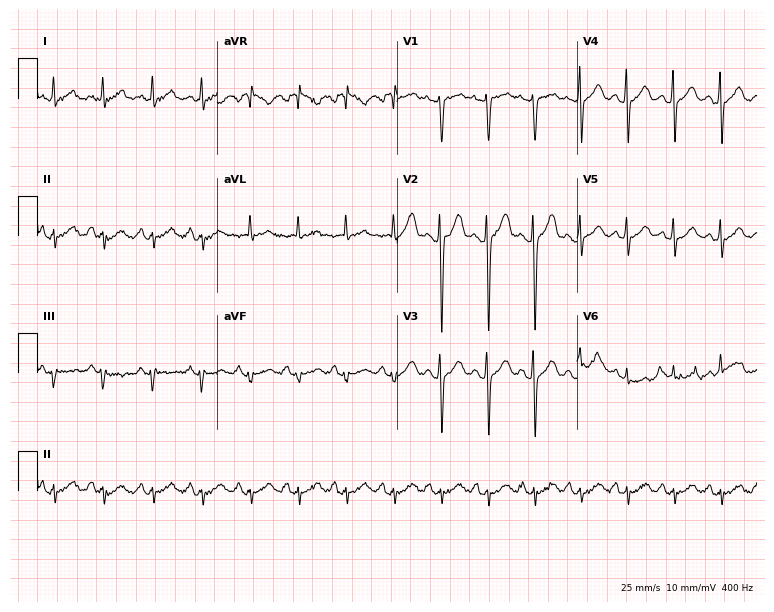
12-lead ECG from a 45-year-old man. Shows sinus tachycardia (a sinus rate of 100 beats per minute or more).